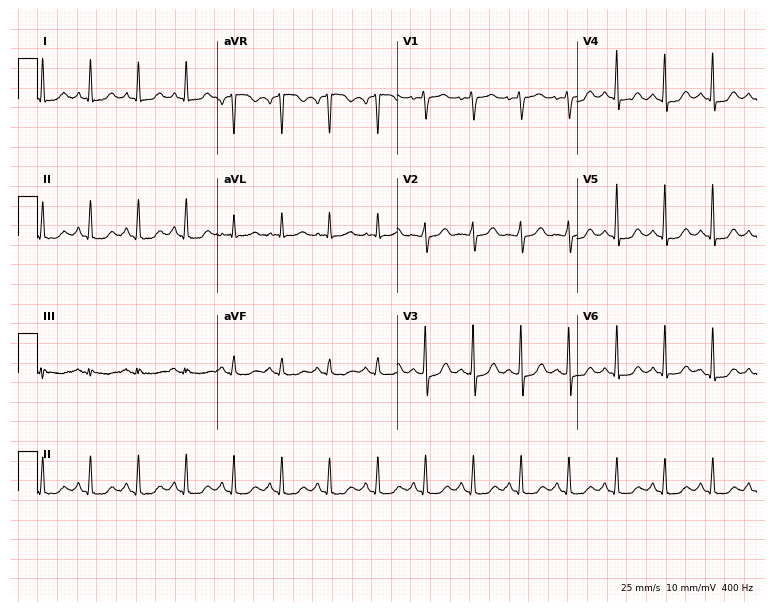
12-lead ECG from a 77-year-old woman. Shows sinus tachycardia (a sinus rate of 100 beats per minute or more).